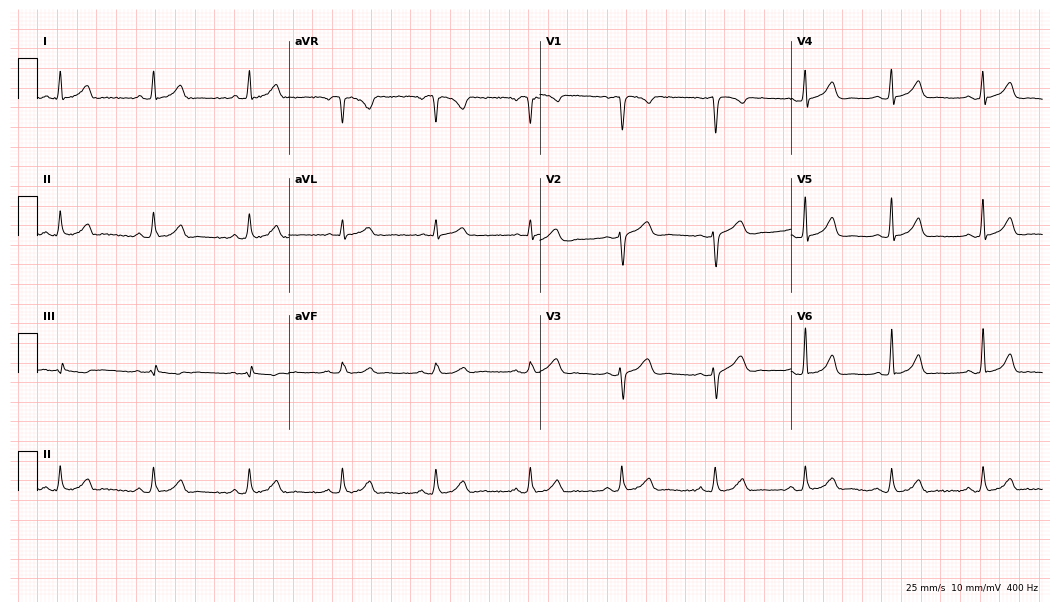
12-lead ECG from a female, 29 years old (10.2-second recording at 400 Hz). No first-degree AV block, right bundle branch block (RBBB), left bundle branch block (LBBB), sinus bradycardia, atrial fibrillation (AF) or sinus tachycardia recorded for this tracing. Only these six findings were labelled.